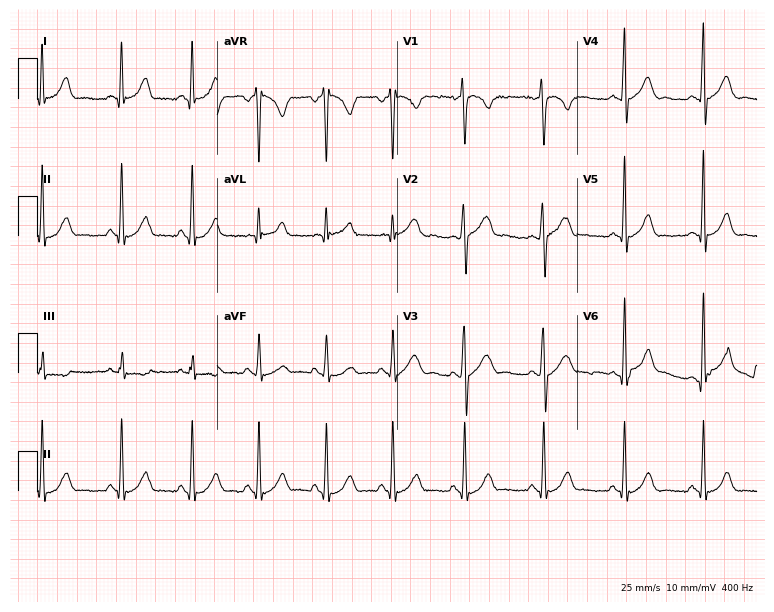
Resting 12-lead electrocardiogram (7.3-second recording at 400 Hz). Patient: a 19-year-old man. Read as a normal ECG.